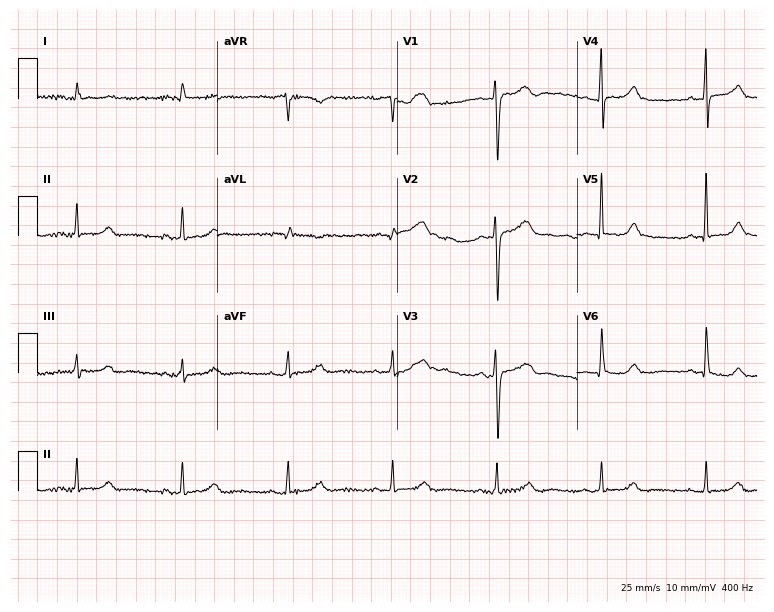
ECG (7.3-second recording at 400 Hz) — a 39-year-old woman. Labelled as a normal ECG.